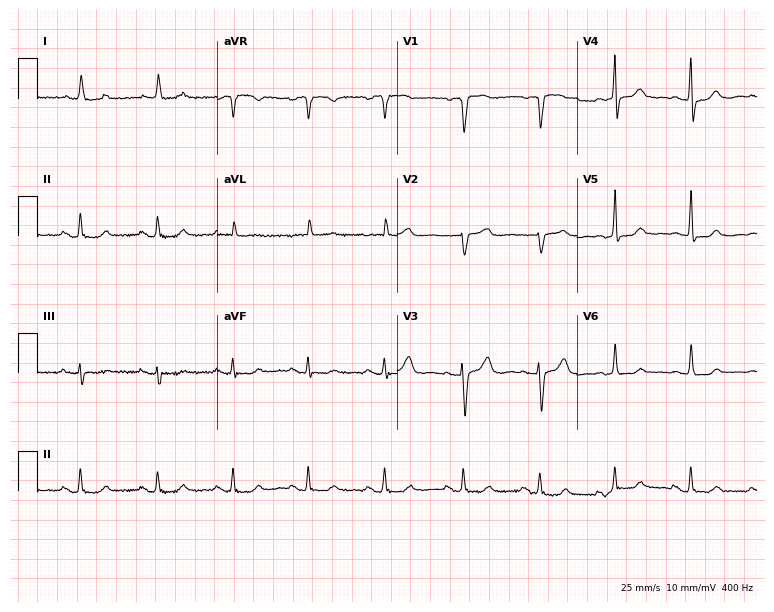
ECG (7.3-second recording at 400 Hz) — an 82-year-old woman. Labelled as a normal ECG.